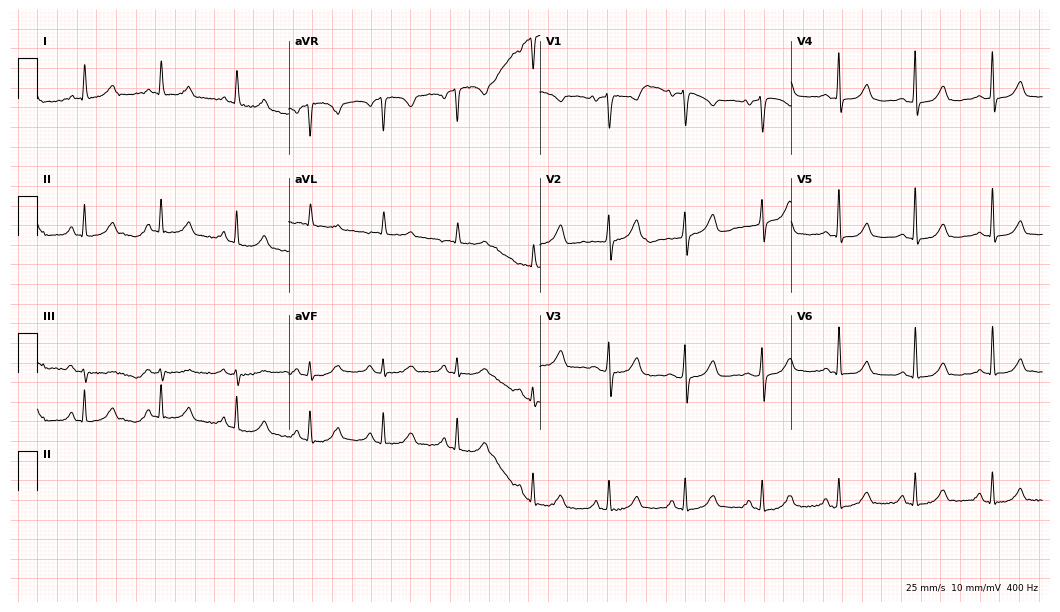
Resting 12-lead electrocardiogram (10.2-second recording at 400 Hz). Patient: a woman, 78 years old. None of these six findings is recorded: first-degree AV block, right bundle branch block, left bundle branch block, sinus bradycardia, atrial fibrillation, sinus tachycardia. Other findings, if any, are not listed.